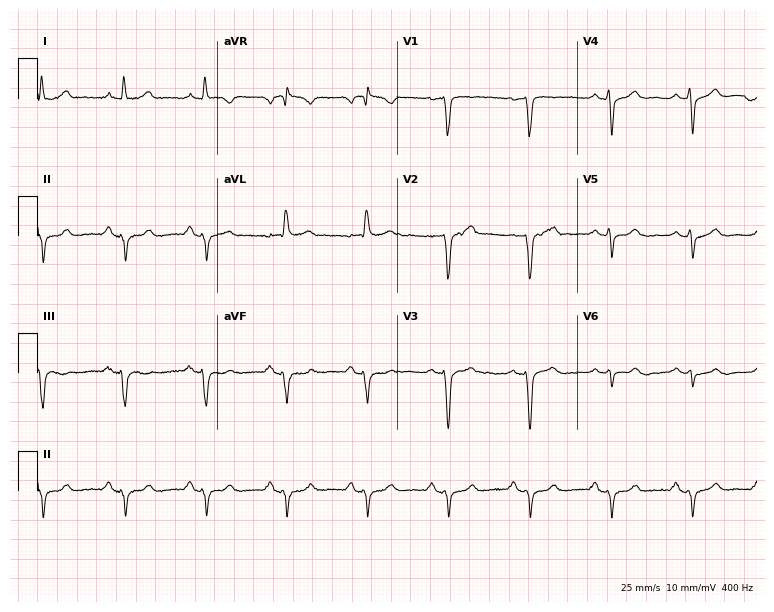
Electrocardiogram (7.3-second recording at 400 Hz), a 50-year-old male patient. Of the six screened findings (first-degree AV block, right bundle branch block, left bundle branch block, sinus bradycardia, atrial fibrillation, sinus tachycardia), none is recorded. Other findings, if any, are not listed.